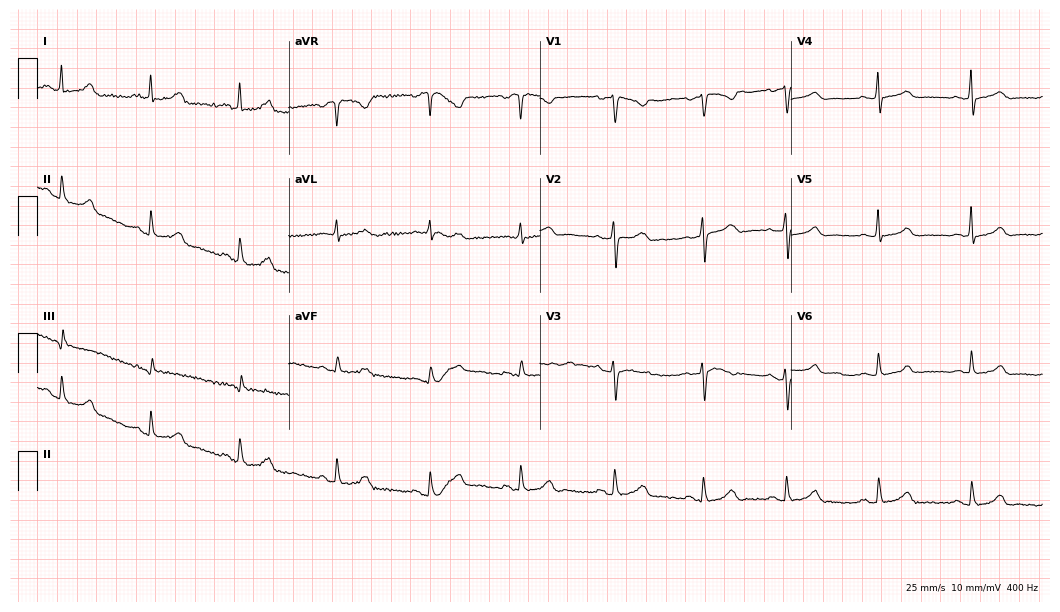
12-lead ECG from a 29-year-old woman (10.2-second recording at 400 Hz). Recorded interpretation: within normal limits.